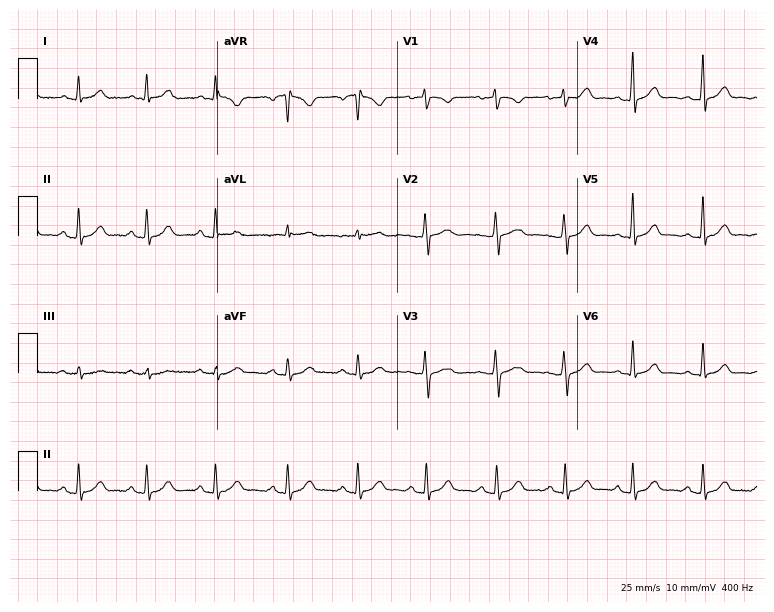
12-lead ECG (7.3-second recording at 400 Hz) from a female, 29 years old. Labelled as a normal ECG.